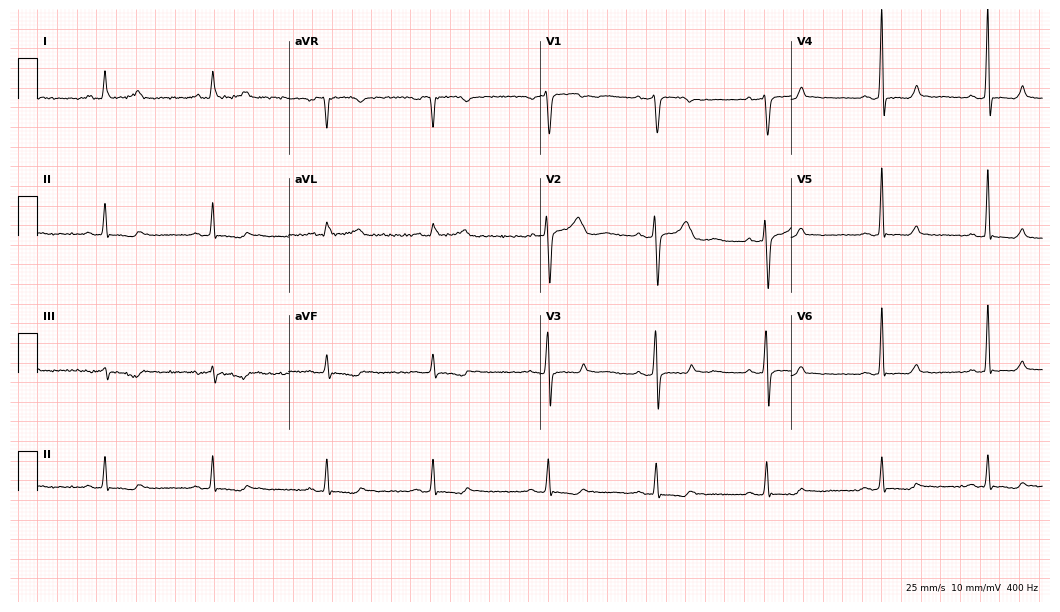
Electrocardiogram (10.2-second recording at 400 Hz), a 52-year-old woman. Overall reading on record: normal ECG.